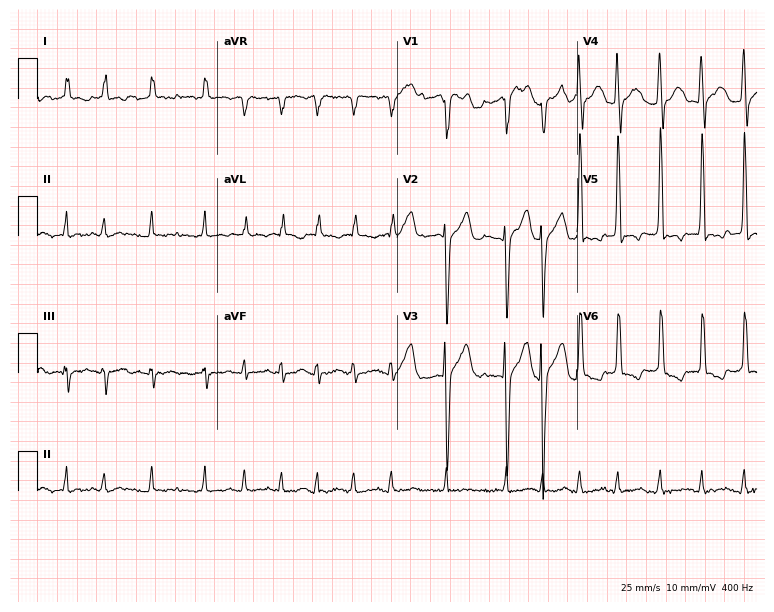
12-lead ECG from a male patient, 59 years old. Shows atrial fibrillation.